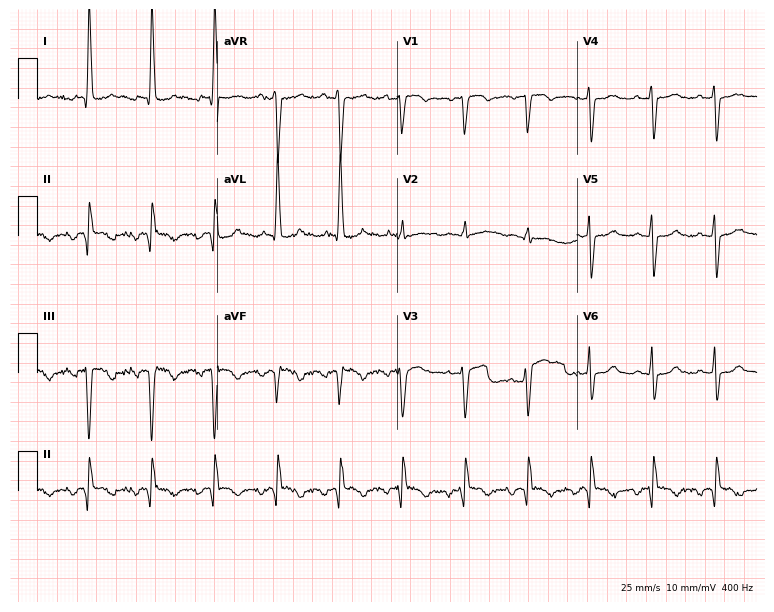
Standard 12-lead ECG recorded from an 81-year-old woman. None of these six findings is recorded: first-degree AV block, right bundle branch block, left bundle branch block, sinus bradycardia, atrial fibrillation, sinus tachycardia.